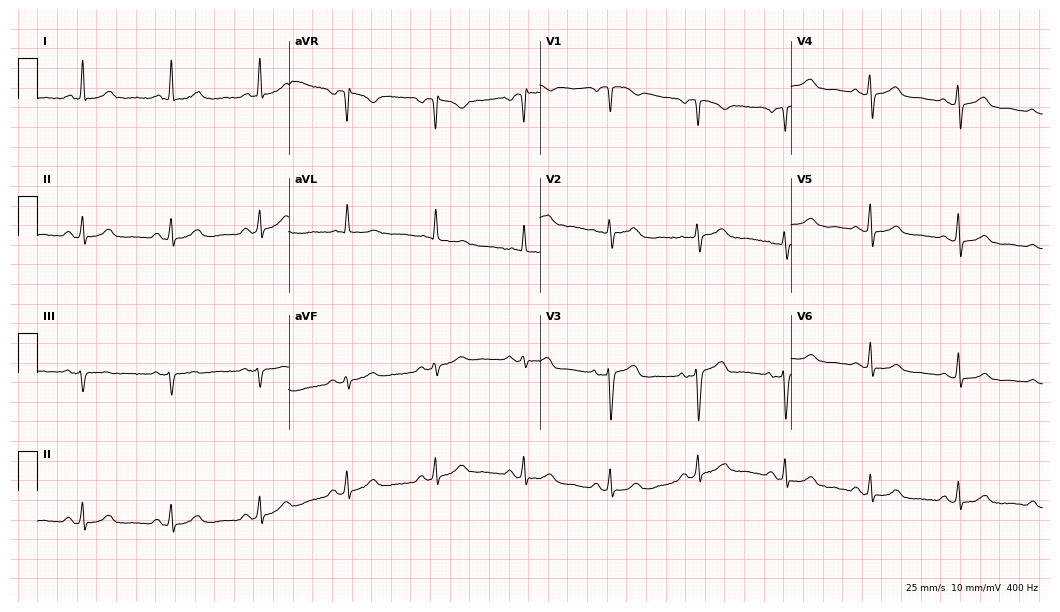
ECG — a 55-year-old female patient. Labelled as a normal ECG.